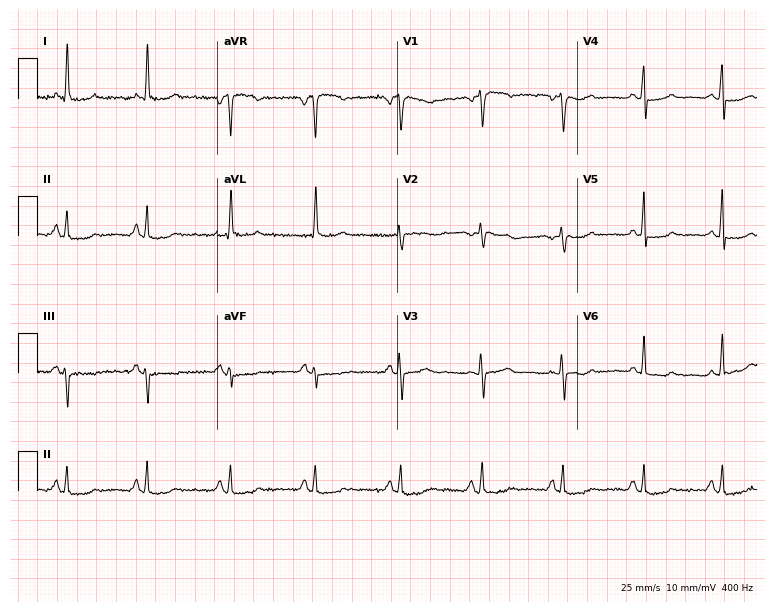
12-lead ECG from a female patient, 54 years old (7.3-second recording at 400 Hz). No first-degree AV block, right bundle branch block (RBBB), left bundle branch block (LBBB), sinus bradycardia, atrial fibrillation (AF) or sinus tachycardia recorded for this tracing.